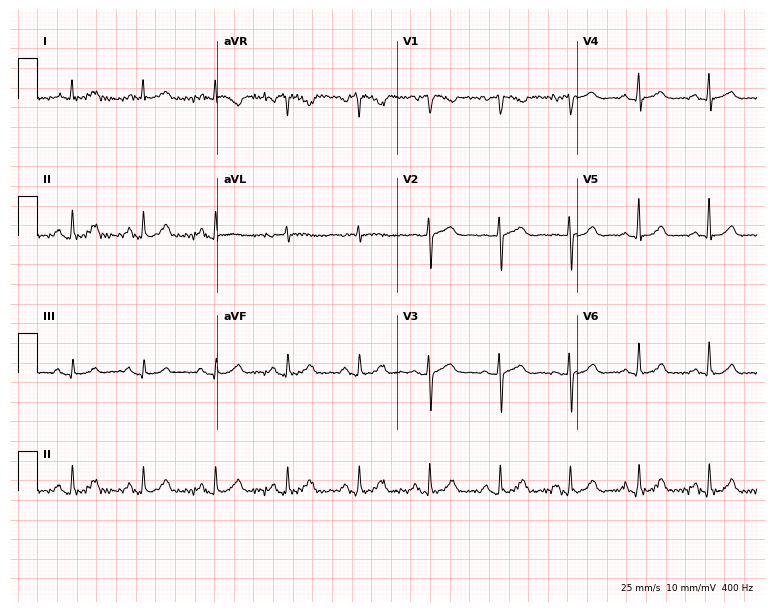
12-lead ECG (7.3-second recording at 400 Hz) from a 68-year-old female patient. Labelled as a normal ECG.